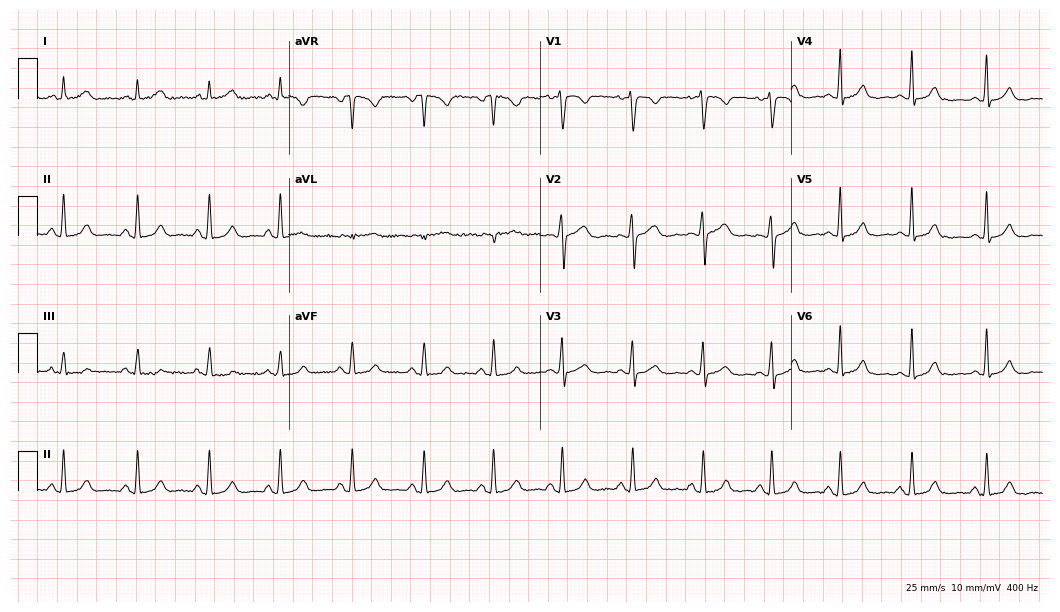
Resting 12-lead electrocardiogram (10.2-second recording at 400 Hz). Patient: a 37-year-old woman. Read as a normal ECG.